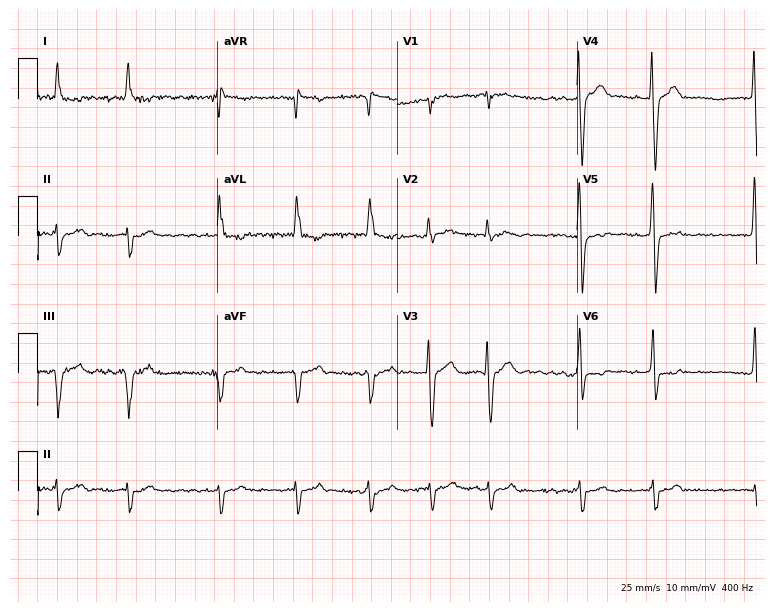
Standard 12-lead ECG recorded from a man, 78 years old. The tracing shows atrial fibrillation.